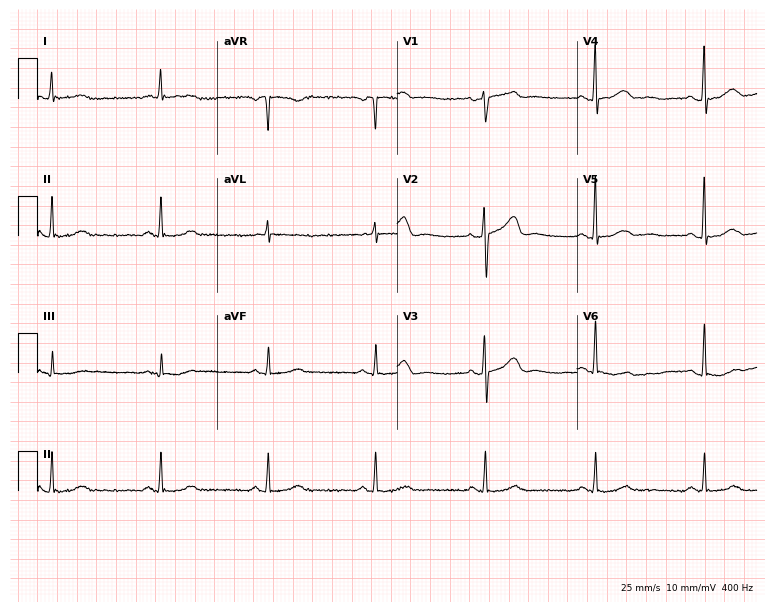
Resting 12-lead electrocardiogram (7.3-second recording at 400 Hz). Patient: a 54-year-old female. Read as a normal ECG.